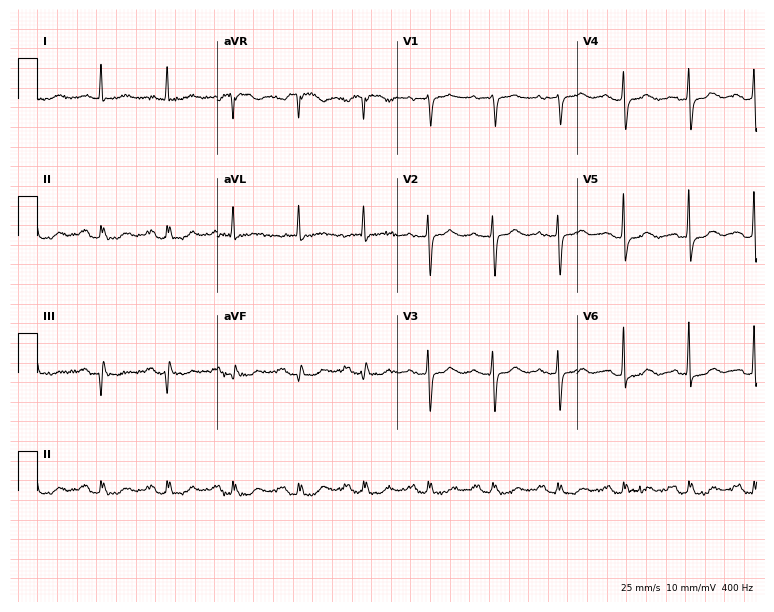
ECG (7.3-second recording at 400 Hz) — a woman, 85 years old. Screened for six findings — first-degree AV block, right bundle branch block (RBBB), left bundle branch block (LBBB), sinus bradycardia, atrial fibrillation (AF), sinus tachycardia — none is recorded.